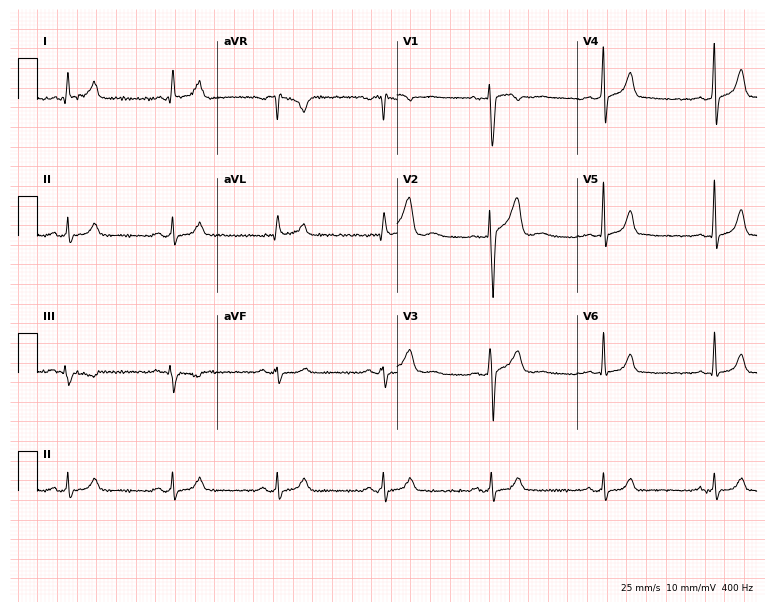
12-lead ECG from a man, 30 years old. Labelled as a normal ECG.